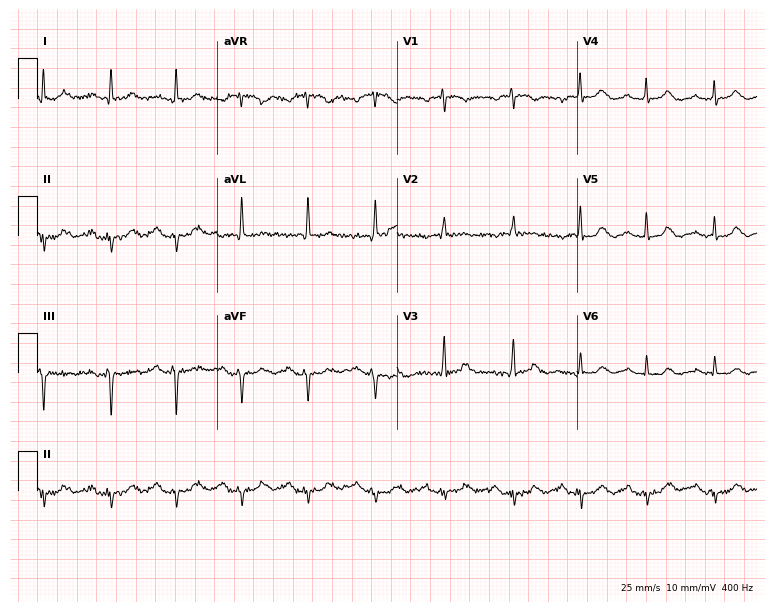
12-lead ECG from a female patient, 84 years old. Findings include first-degree AV block.